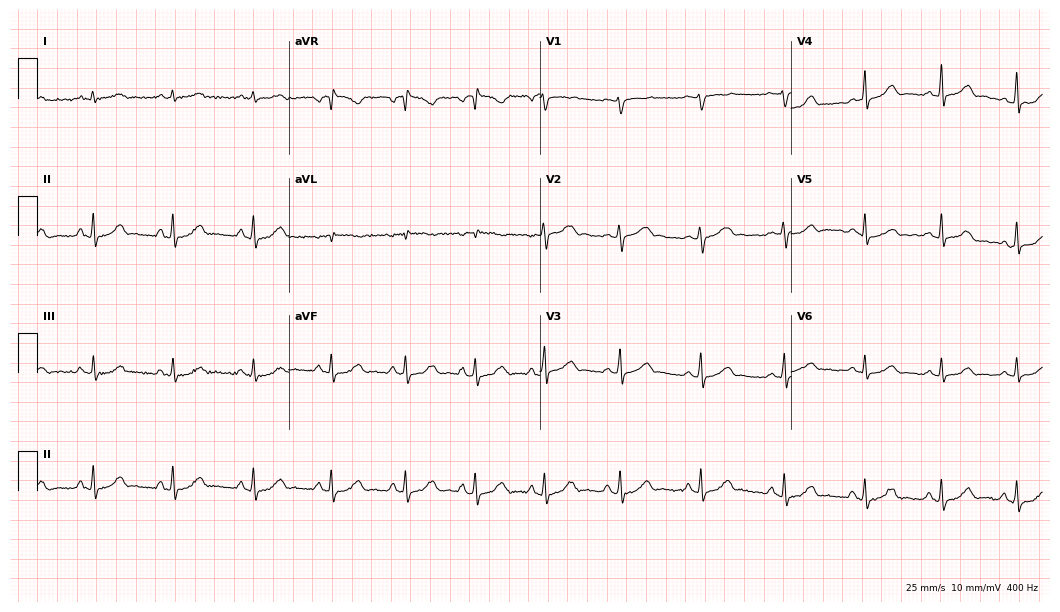
12-lead ECG (10.2-second recording at 400 Hz) from a 33-year-old female patient. Labelled as a normal ECG.